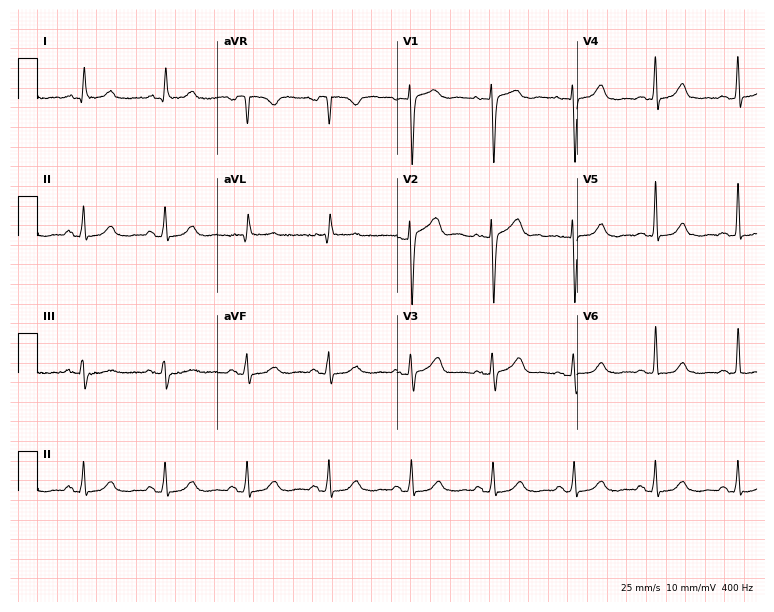
12-lead ECG (7.3-second recording at 400 Hz) from a woman, 66 years old. Labelled as a normal ECG.